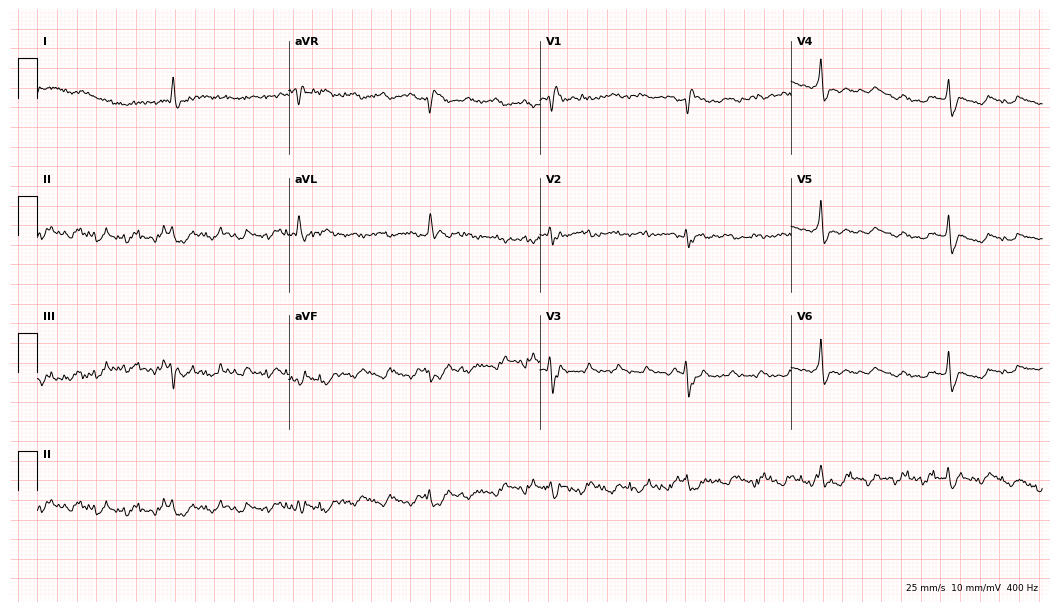
ECG — a male, 85 years old. Screened for six findings — first-degree AV block, right bundle branch block, left bundle branch block, sinus bradycardia, atrial fibrillation, sinus tachycardia — none is recorded.